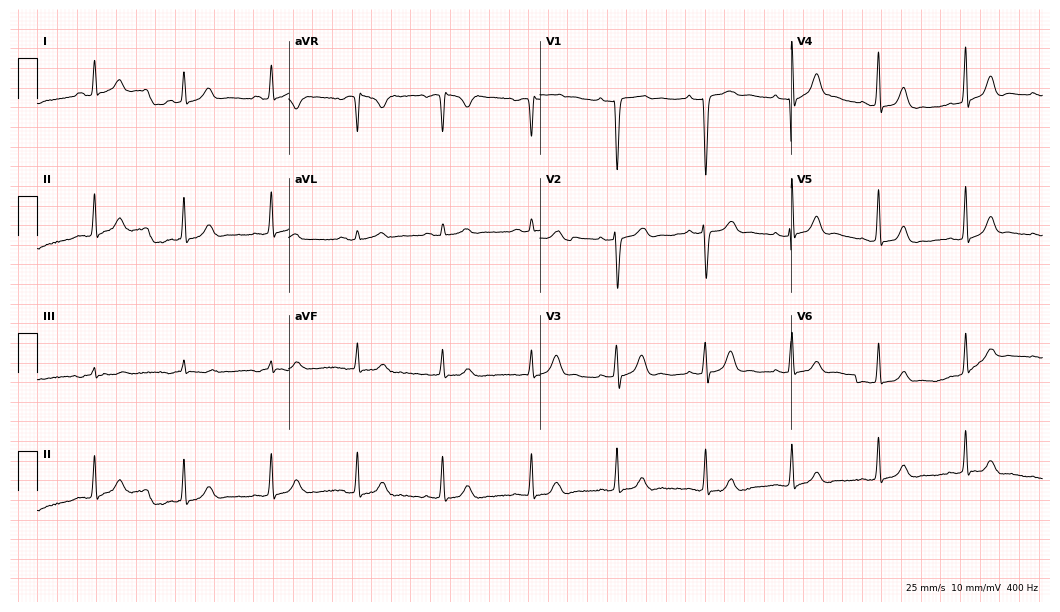
12-lead ECG from a woman, 26 years old. Recorded interpretation: within normal limits.